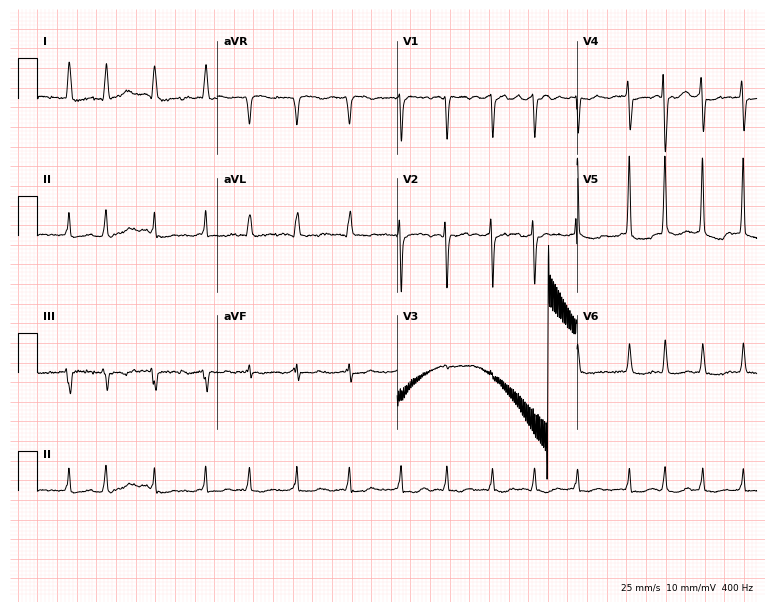
Standard 12-lead ECG recorded from a 78-year-old female patient (7.3-second recording at 400 Hz). The tracing shows atrial fibrillation.